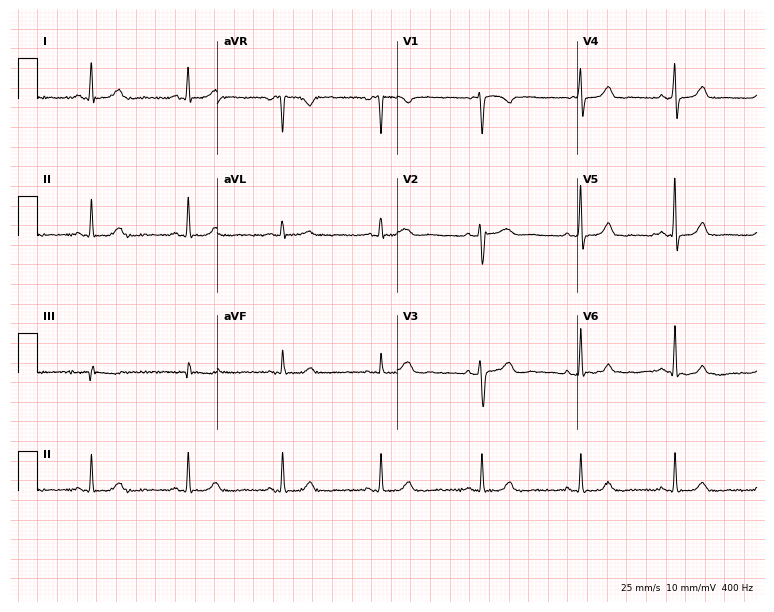
12-lead ECG from a woman, 57 years old. No first-degree AV block, right bundle branch block, left bundle branch block, sinus bradycardia, atrial fibrillation or sinus tachycardia recorded for this tracing. Other findings, if any, are not listed.